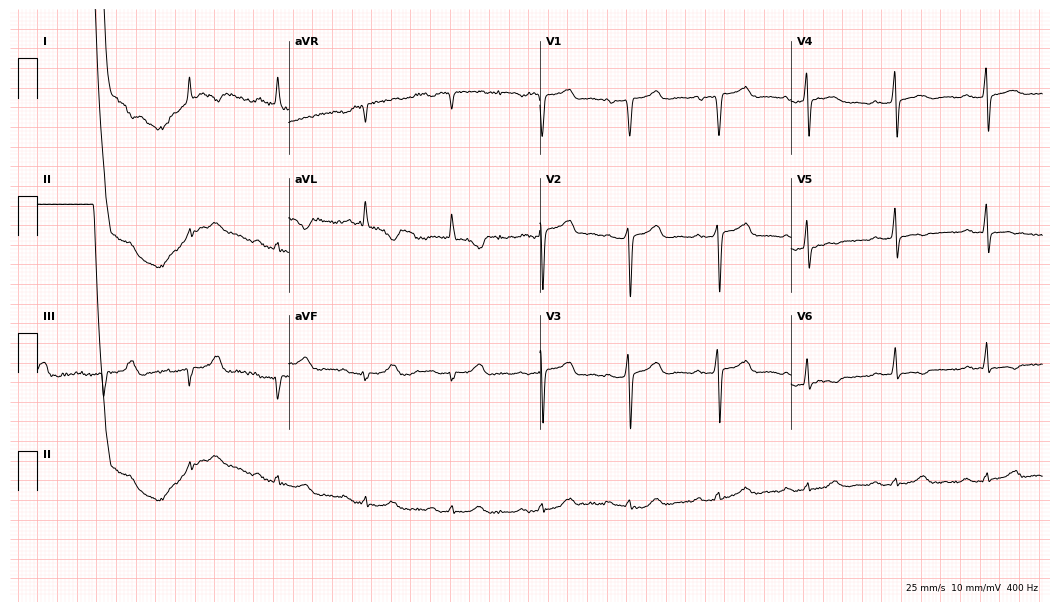
Standard 12-lead ECG recorded from a 57-year-old man. None of these six findings is recorded: first-degree AV block, right bundle branch block (RBBB), left bundle branch block (LBBB), sinus bradycardia, atrial fibrillation (AF), sinus tachycardia.